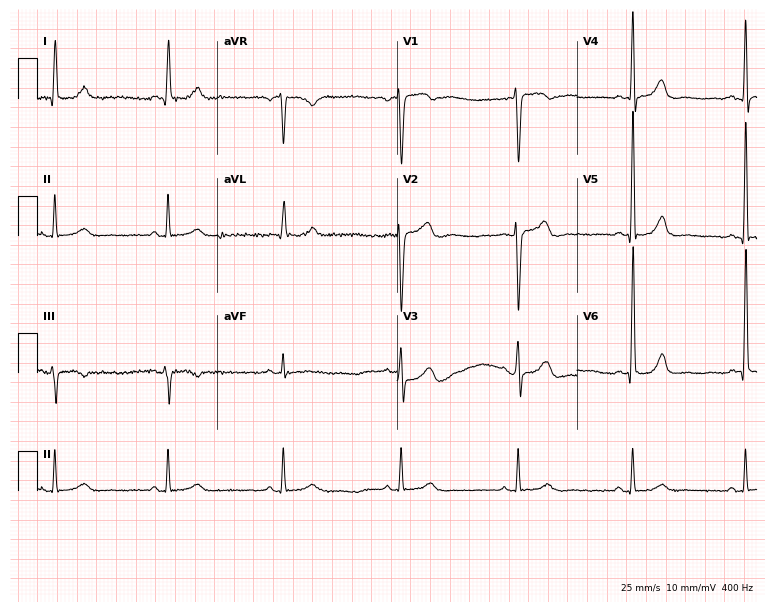
12-lead ECG from a man, 68 years old. Recorded interpretation: within normal limits.